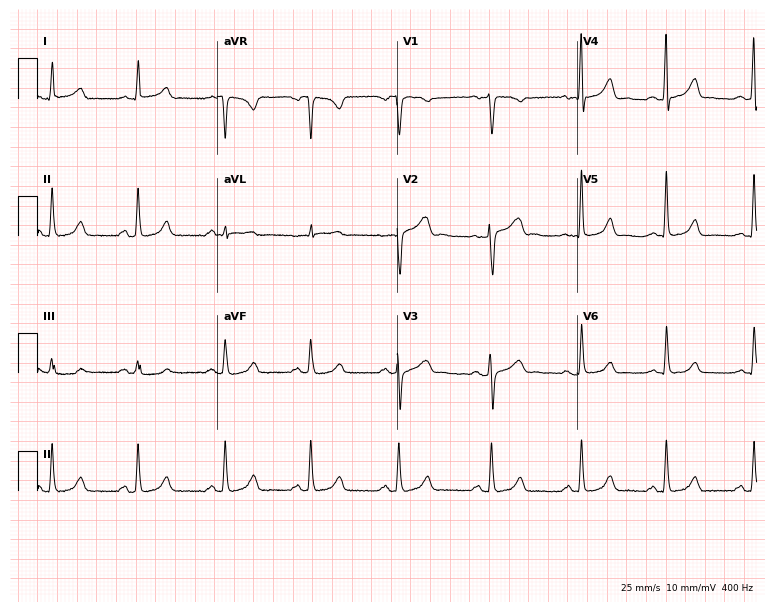
Resting 12-lead electrocardiogram (7.3-second recording at 400 Hz). Patient: a woman, 39 years old. Read as a normal ECG.